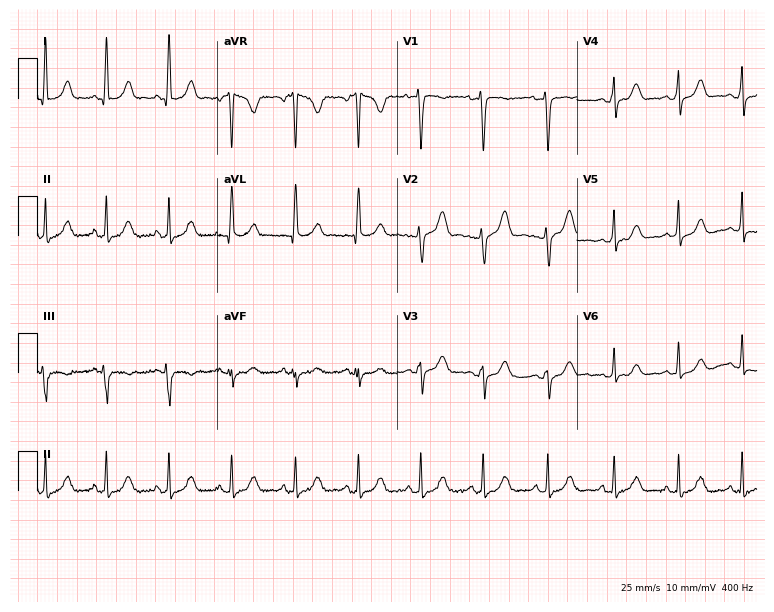
12-lead ECG from a woman, 36 years old (7.3-second recording at 400 Hz). Recorded interpretation: within normal limits.